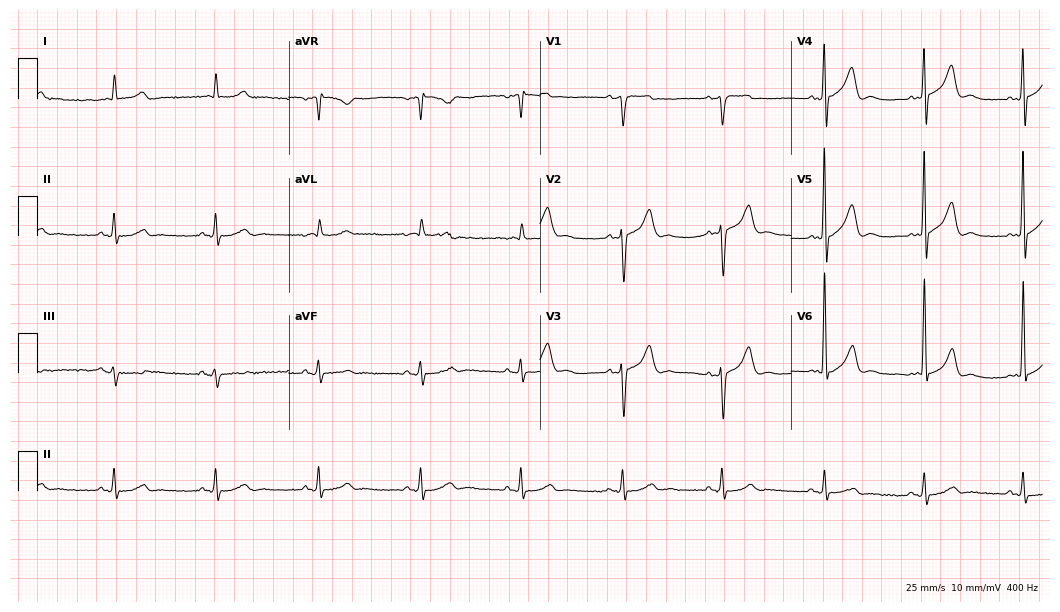
Resting 12-lead electrocardiogram. Patient: a 74-year-old man. Read as a normal ECG.